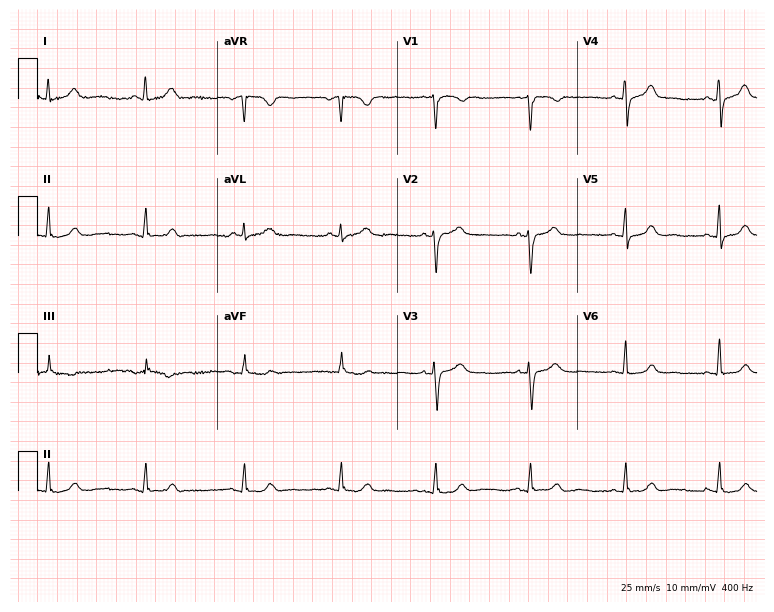
ECG (7.3-second recording at 400 Hz) — a 64-year-old woman. Screened for six findings — first-degree AV block, right bundle branch block, left bundle branch block, sinus bradycardia, atrial fibrillation, sinus tachycardia — none is recorded. Findings outside these six are not listed.